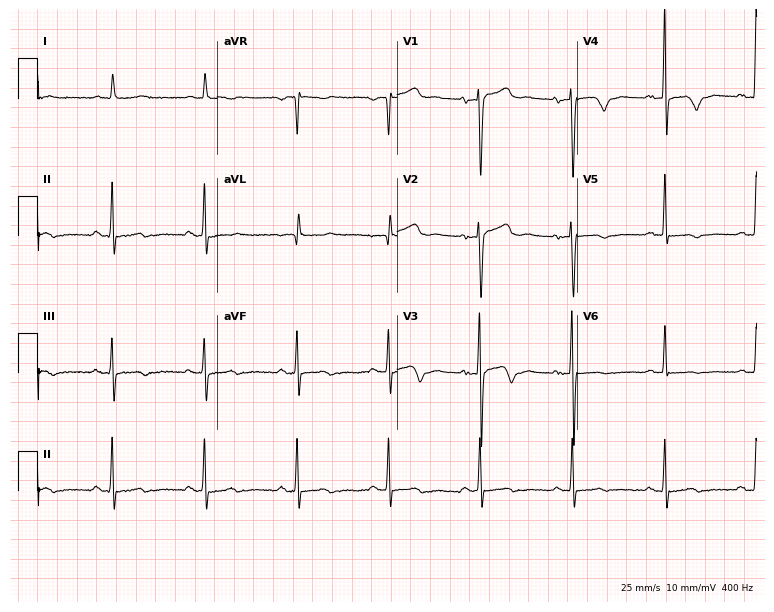
Standard 12-lead ECG recorded from an 80-year-old female. None of these six findings is recorded: first-degree AV block, right bundle branch block, left bundle branch block, sinus bradycardia, atrial fibrillation, sinus tachycardia. Other findings, if any, are not listed.